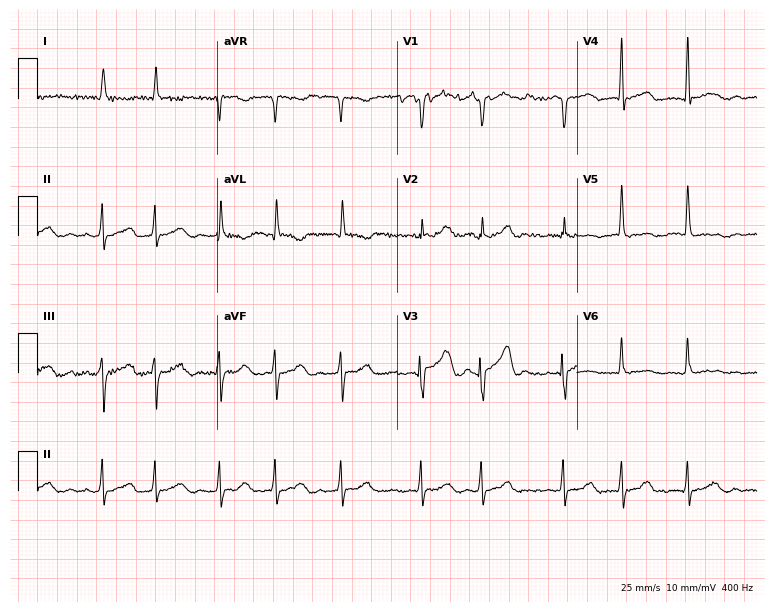
12-lead ECG (7.3-second recording at 400 Hz) from a female, 80 years old. Findings include atrial fibrillation.